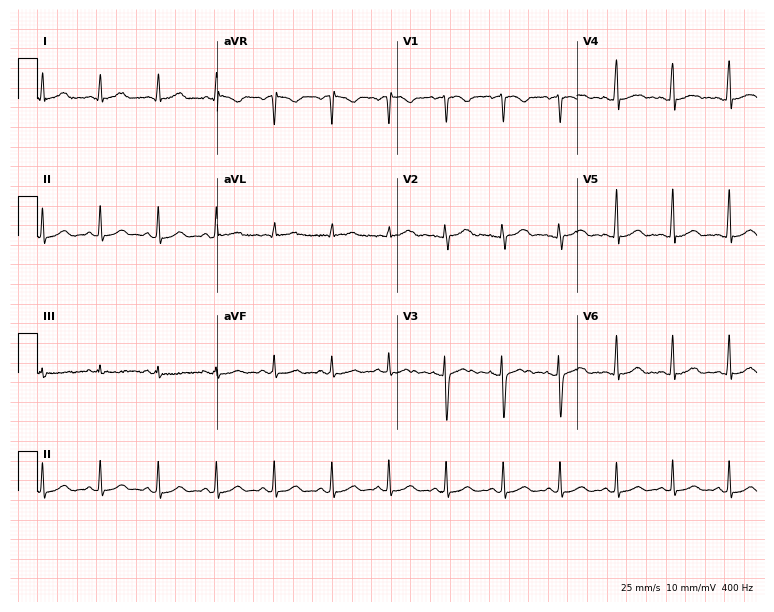
Electrocardiogram, a female, 26 years old. Overall reading on record: normal ECG.